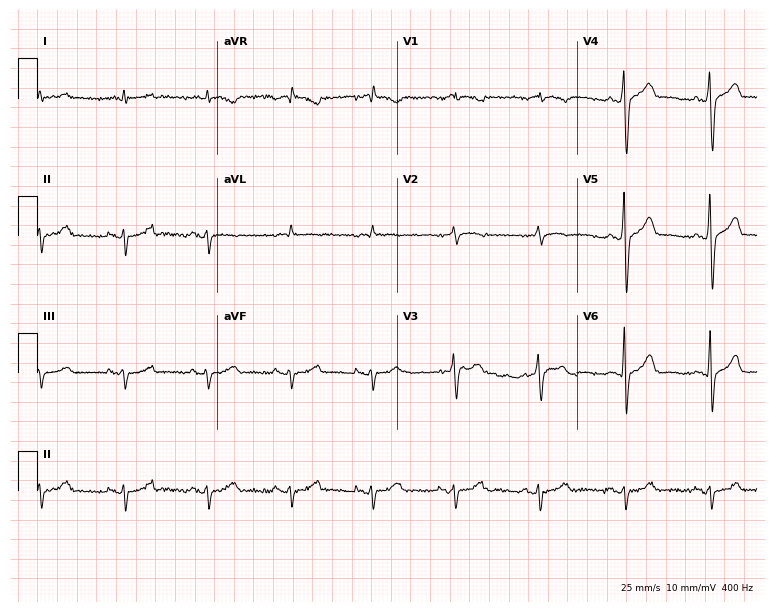
Resting 12-lead electrocardiogram. Patient: a 58-year-old man. None of these six findings is recorded: first-degree AV block, right bundle branch block, left bundle branch block, sinus bradycardia, atrial fibrillation, sinus tachycardia. Findings outside these six are not listed.